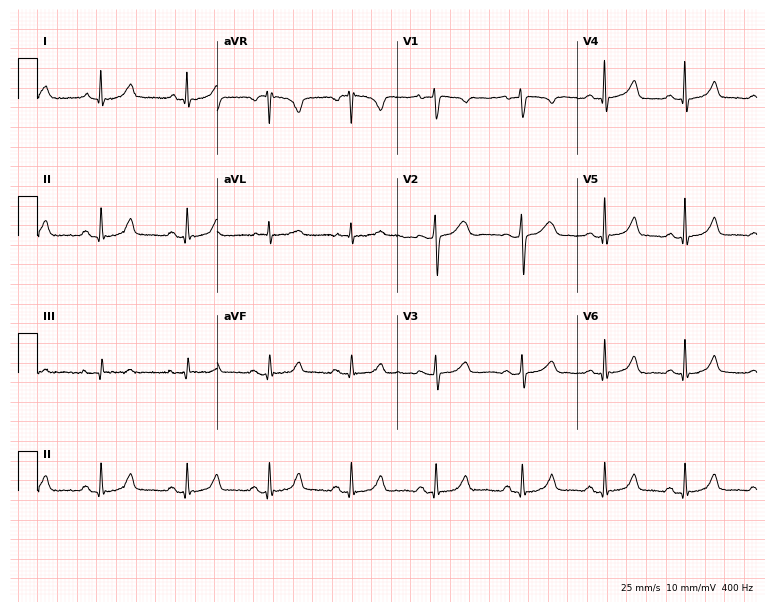
ECG (7.3-second recording at 400 Hz) — a 46-year-old female patient. Labelled as a normal ECG.